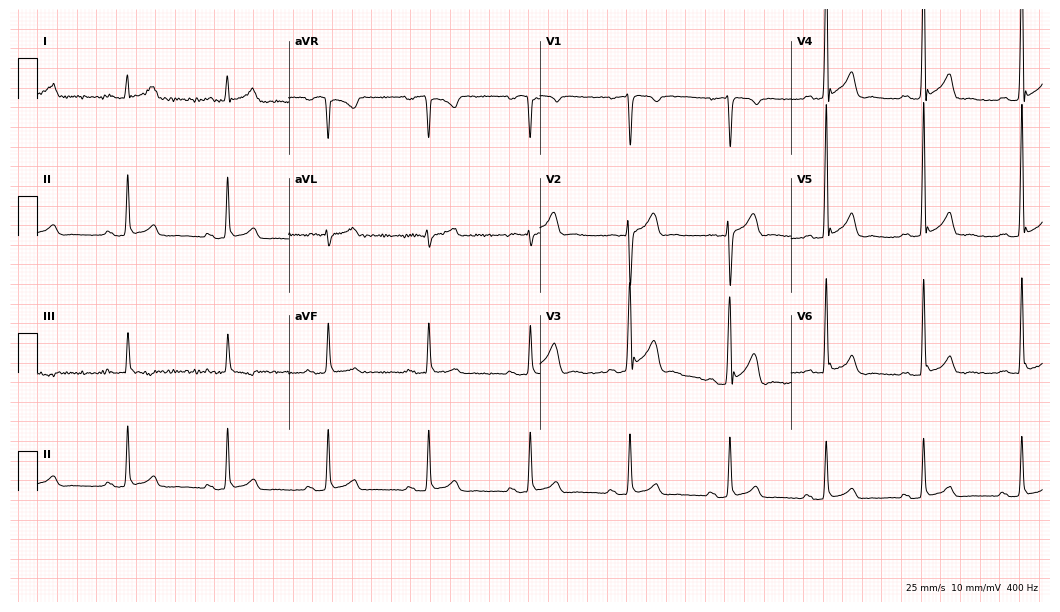
ECG — a 23-year-old male. Labelled as a normal ECG.